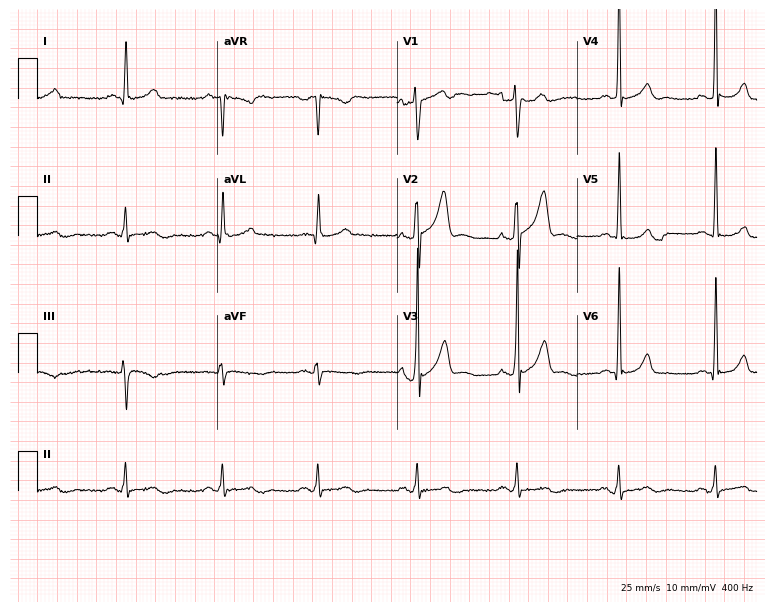
Electrocardiogram (7.3-second recording at 400 Hz), a male patient, 52 years old. Overall reading on record: normal ECG.